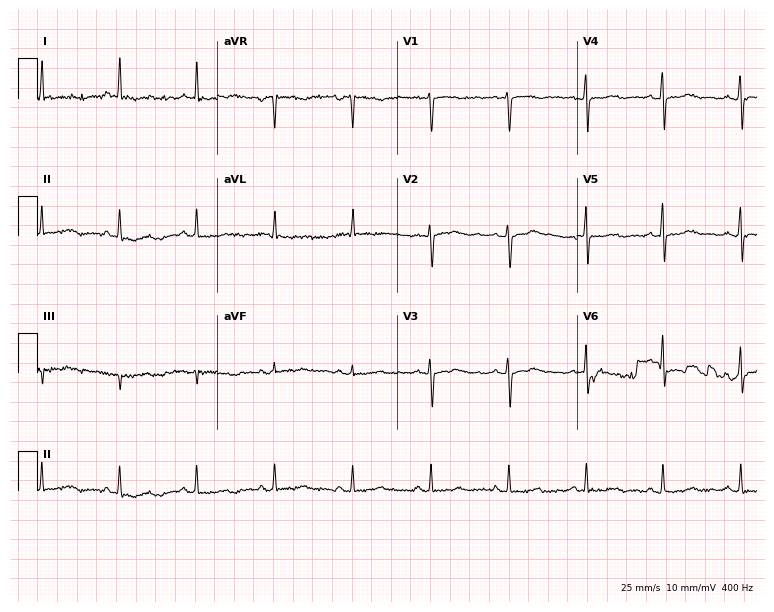
Resting 12-lead electrocardiogram (7.3-second recording at 400 Hz). Patient: a 45-year-old female. None of these six findings is recorded: first-degree AV block, right bundle branch block, left bundle branch block, sinus bradycardia, atrial fibrillation, sinus tachycardia.